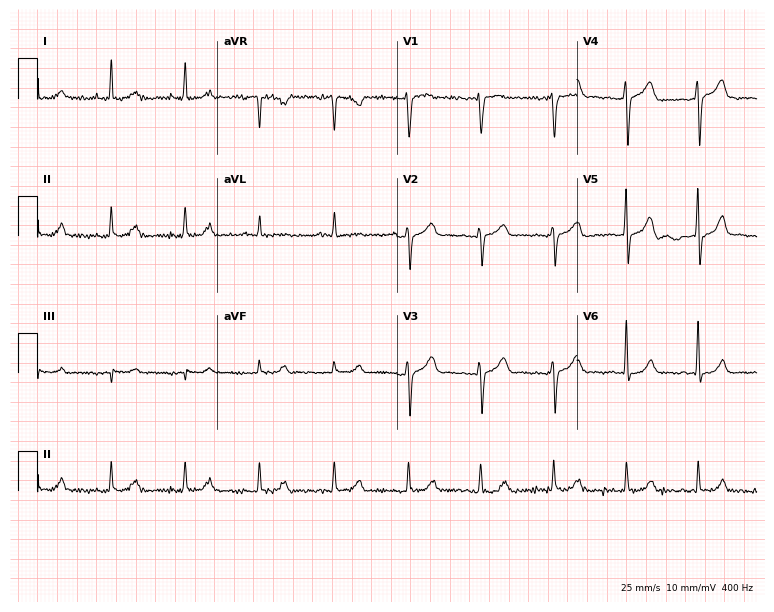
Electrocardiogram, a female, 65 years old. Of the six screened findings (first-degree AV block, right bundle branch block, left bundle branch block, sinus bradycardia, atrial fibrillation, sinus tachycardia), none is recorded.